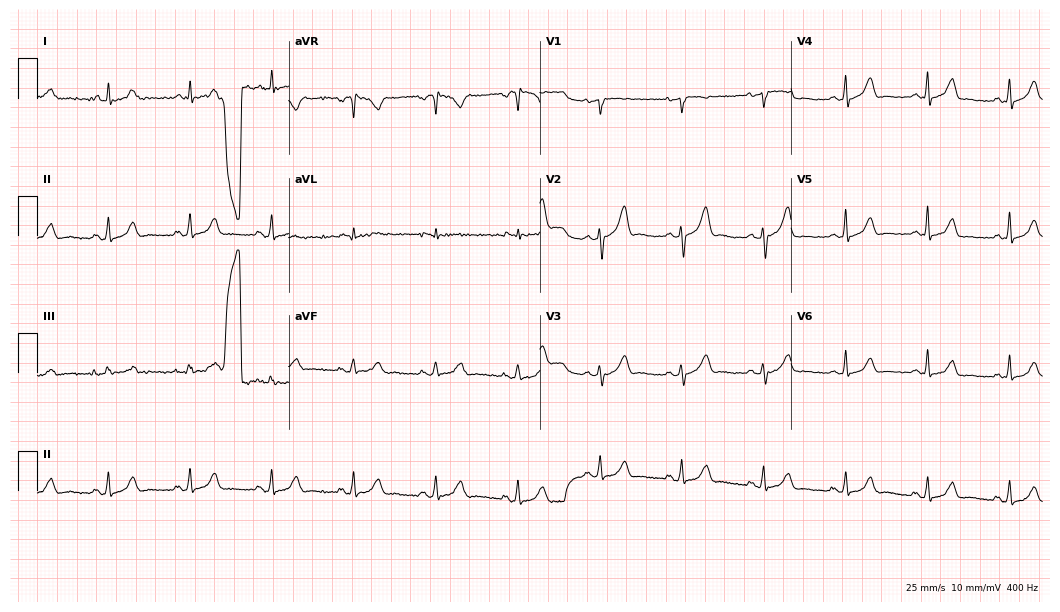
ECG — a 67-year-old female. Labelled as a normal ECG.